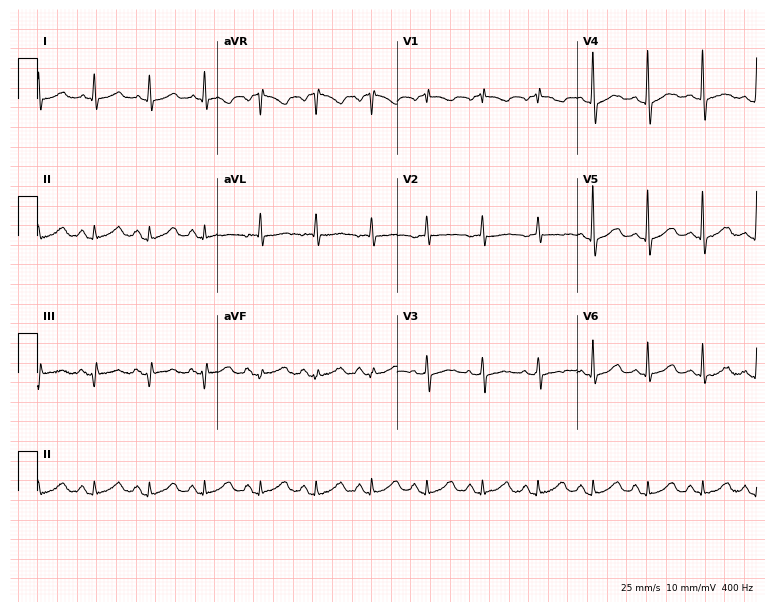
12-lead ECG (7.3-second recording at 400 Hz) from a 62-year-old female patient. Findings include sinus tachycardia (a sinus rate of 100 beats per minute or more).